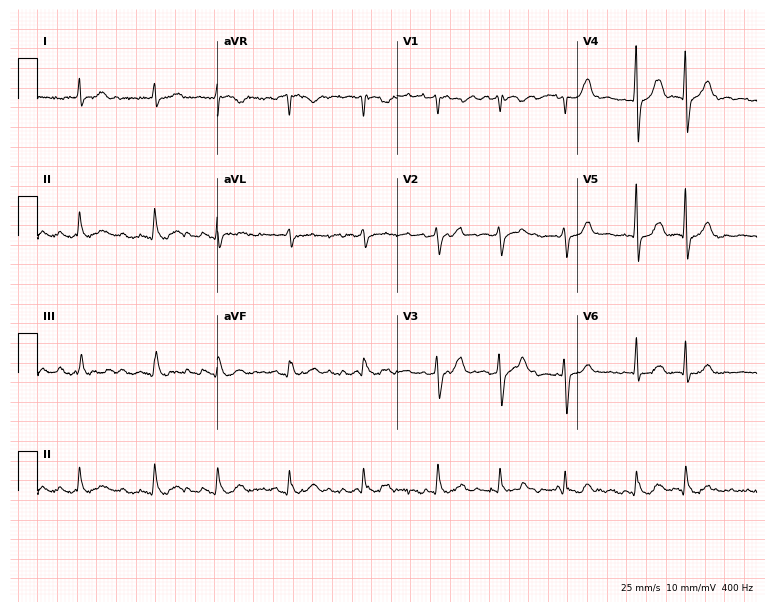
12-lead ECG from a male, 75 years old (7.3-second recording at 400 Hz). Shows atrial fibrillation (AF).